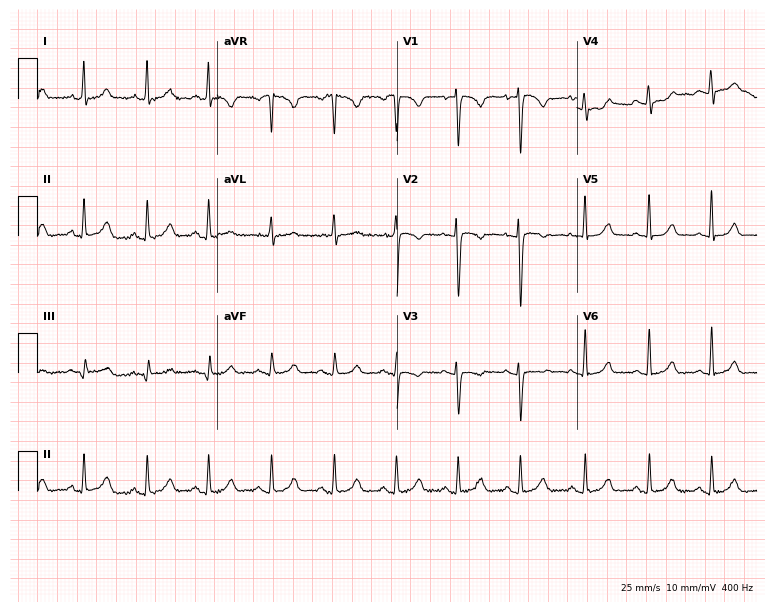
Resting 12-lead electrocardiogram (7.3-second recording at 400 Hz). Patient: a woman, 28 years old. Read as a normal ECG.